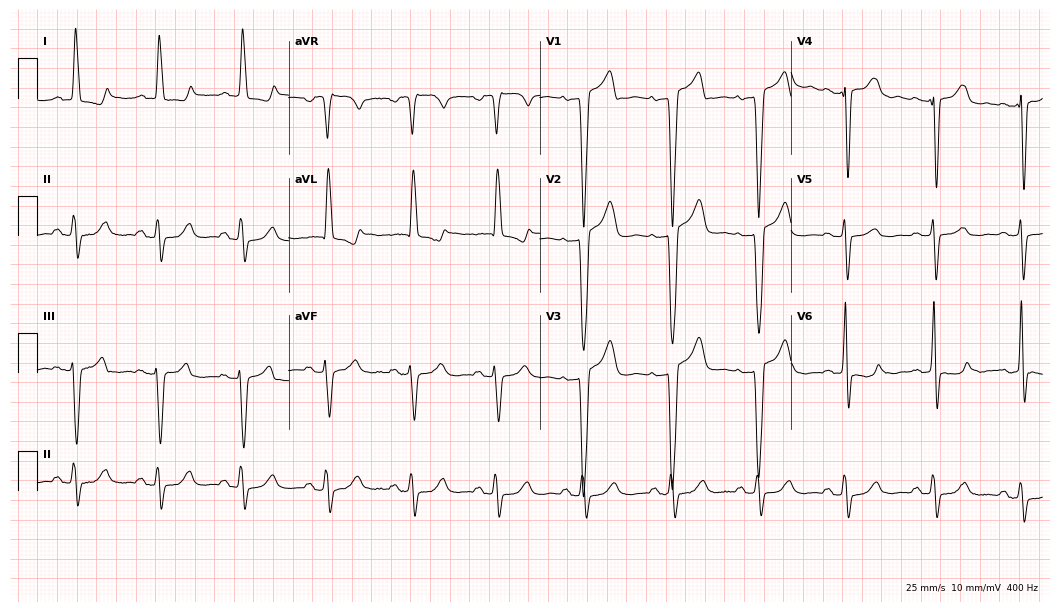
12-lead ECG from a 61-year-old female patient. Findings include left bundle branch block (LBBB).